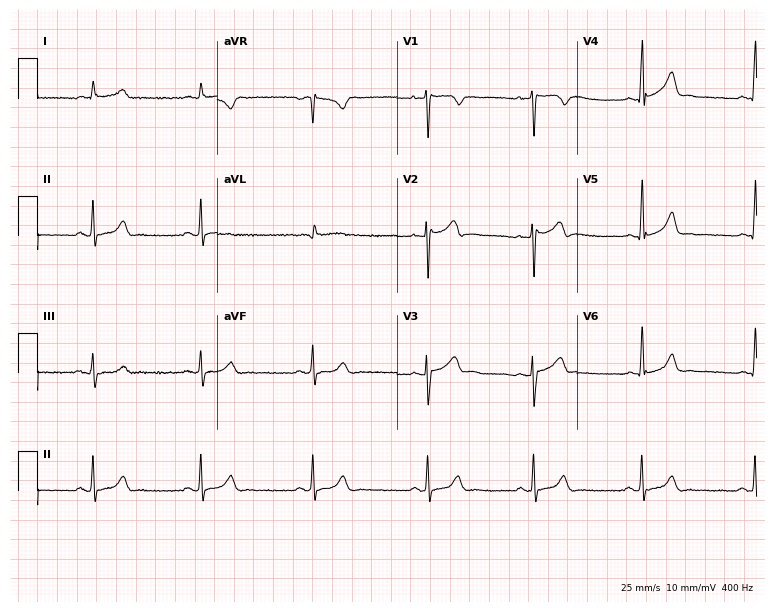
12-lead ECG from a male patient, 36 years old. Recorded interpretation: within normal limits.